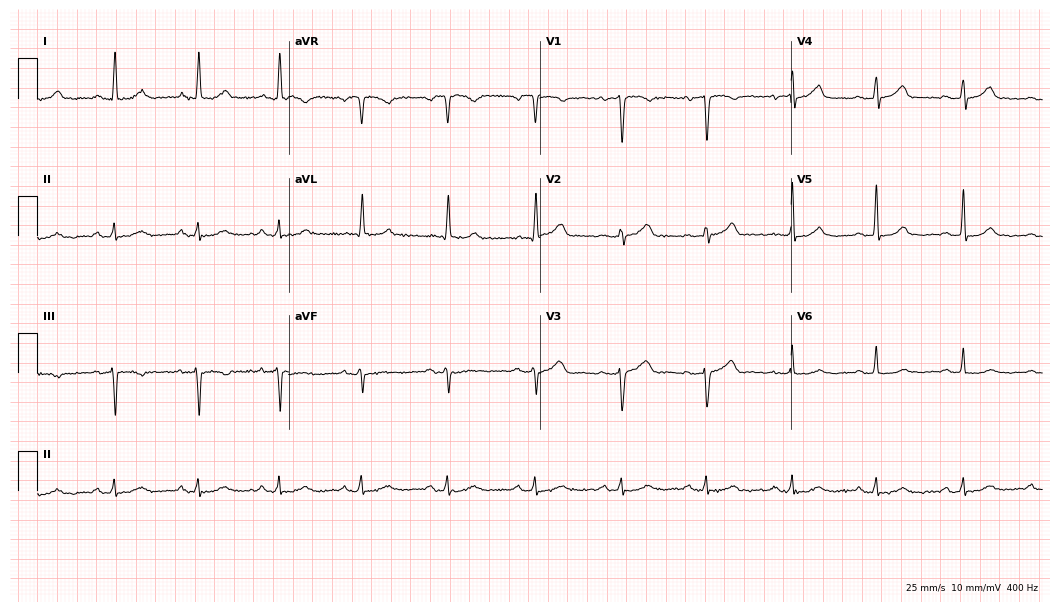
Electrocardiogram, a female, 65 years old. Overall reading on record: normal ECG.